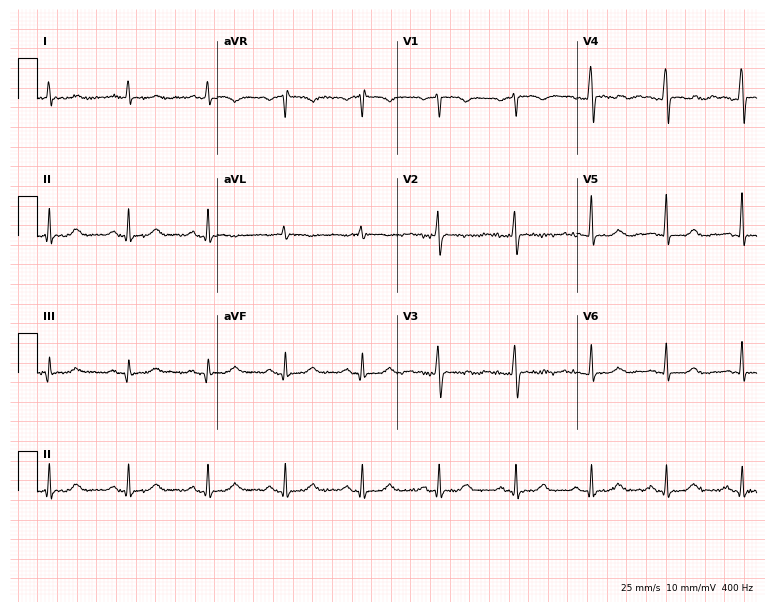
Electrocardiogram (7.3-second recording at 400 Hz), a male, 56 years old. Of the six screened findings (first-degree AV block, right bundle branch block, left bundle branch block, sinus bradycardia, atrial fibrillation, sinus tachycardia), none is recorded.